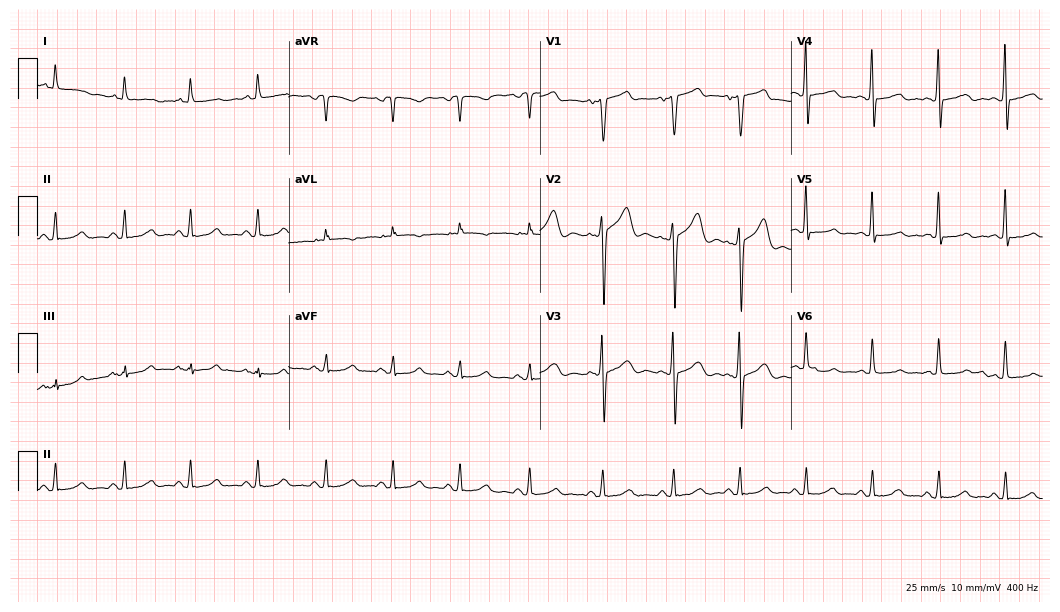
Standard 12-lead ECG recorded from a 51-year-old male patient. Read as a normal ECG.